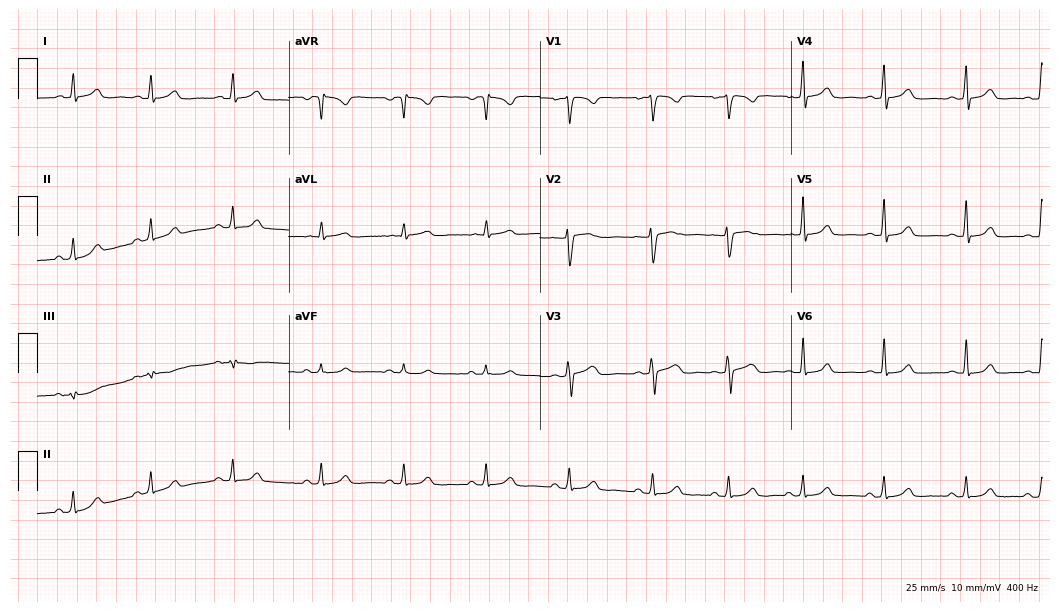
Resting 12-lead electrocardiogram (10.2-second recording at 400 Hz). Patient: a 29-year-old female. None of these six findings is recorded: first-degree AV block, right bundle branch block (RBBB), left bundle branch block (LBBB), sinus bradycardia, atrial fibrillation (AF), sinus tachycardia.